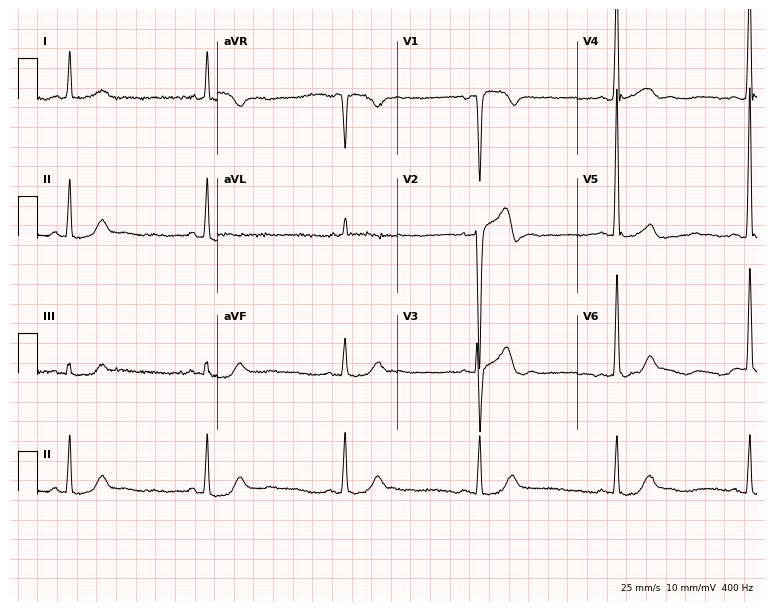
12-lead ECG from a male, 73 years old. Findings include sinus bradycardia (a sinus rate of 50 beats per minute or less).